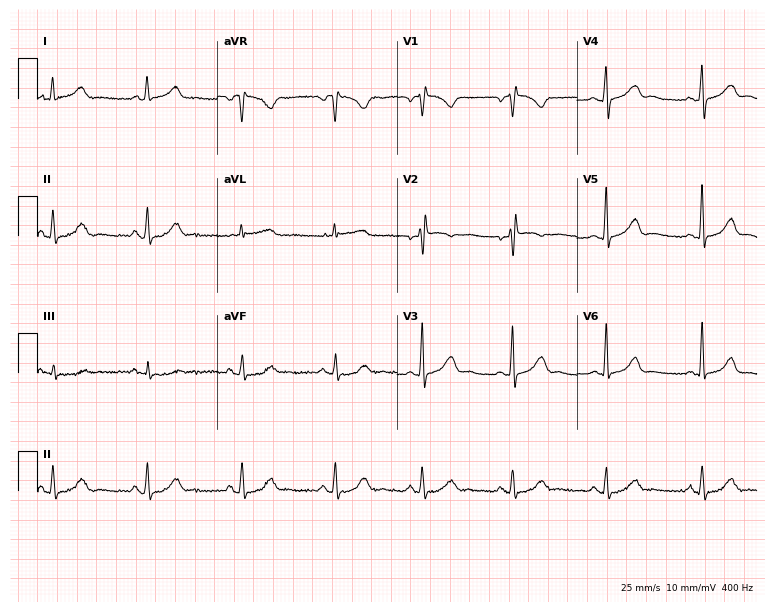
12-lead ECG (7.3-second recording at 400 Hz) from a 26-year-old female patient. Screened for six findings — first-degree AV block, right bundle branch block, left bundle branch block, sinus bradycardia, atrial fibrillation, sinus tachycardia — none is recorded. Only these six findings were labelled.